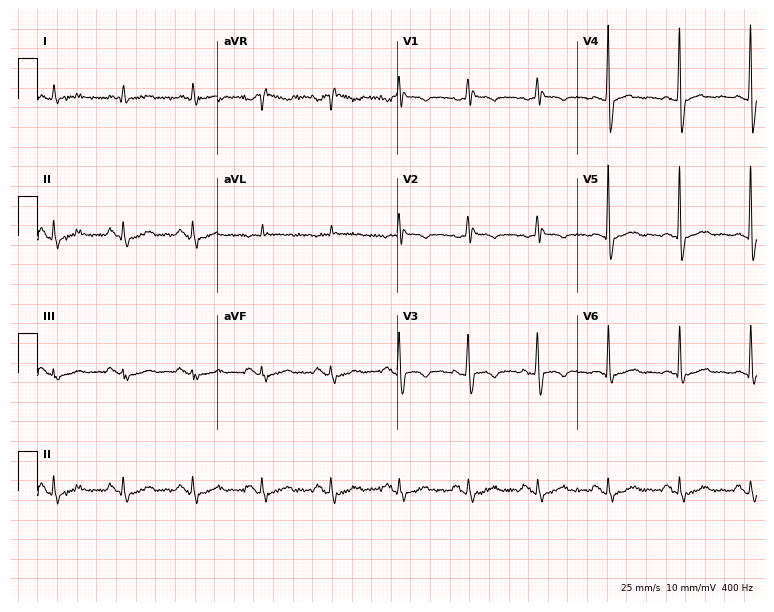
12-lead ECG from a woman, 72 years old (7.3-second recording at 400 Hz). No first-degree AV block, right bundle branch block (RBBB), left bundle branch block (LBBB), sinus bradycardia, atrial fibrillation (AF) or sinus tachycardia recorded for this tracing. Findings outside these six are not listed.